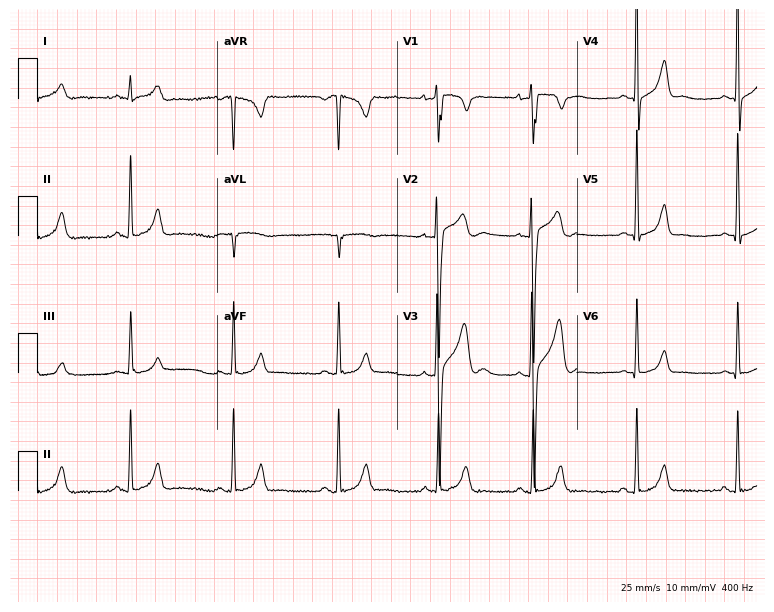
Electrocardiogram (7.3-second recording at 400 Hz), a male, 19 years old. Of the six screened findings (first-degree AV block, right bundle branch block (RBBB), left bundle branch block (LBBB), sinus bradycardia, atrial fibrillation (AF), sinus tachycardia), none is recorded.